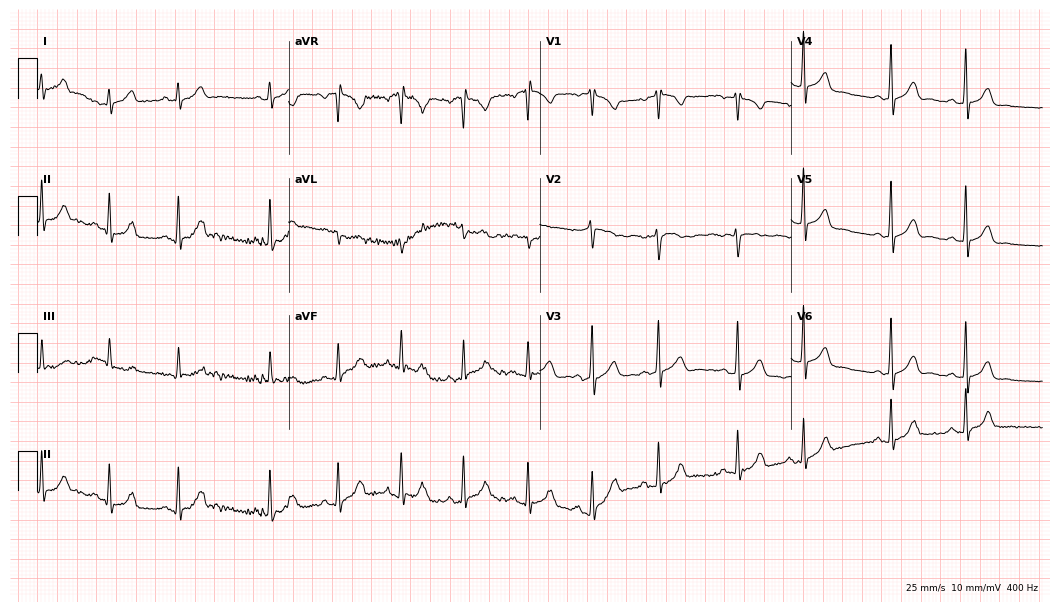
12-lead ECG from a woman, 17 years old (10.2-second recording at 400 Hz). Recorded interpretation: within normal limits.